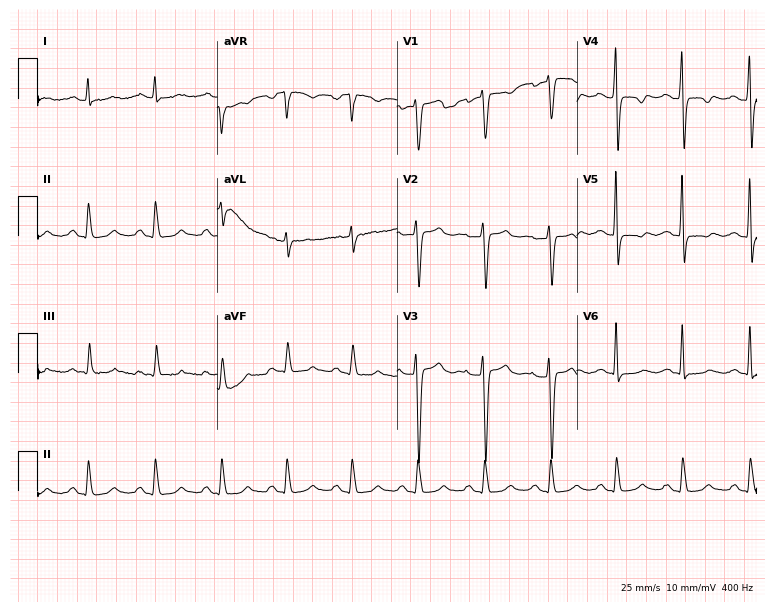
Standard 12-lead ECG recorded from a woman, 37 years old (7.3-second recording at 400 Hz). None of these six findings is recorded: first-degree AV block, right bundle branch block, left bundle branch block, sinus bradycardia, atrial fibrillation, sinus tachycardia.